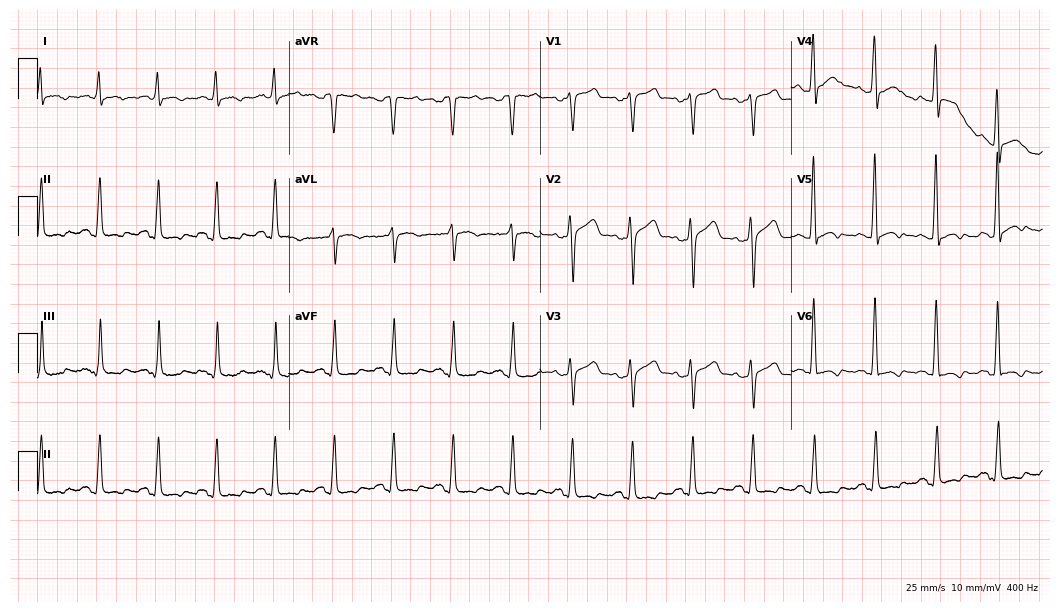
ECG (10.2-second recording at 400 Hz) — a 55-year-old male patient. Screened for six findings — first-degree AV block, right bundle branch block (RBBB), left bundle branch block (LBBB), sinus bradycardia, atrial fibrillation (AF), sinus tachycardia — none is recorded. Only these six findings were labelled.